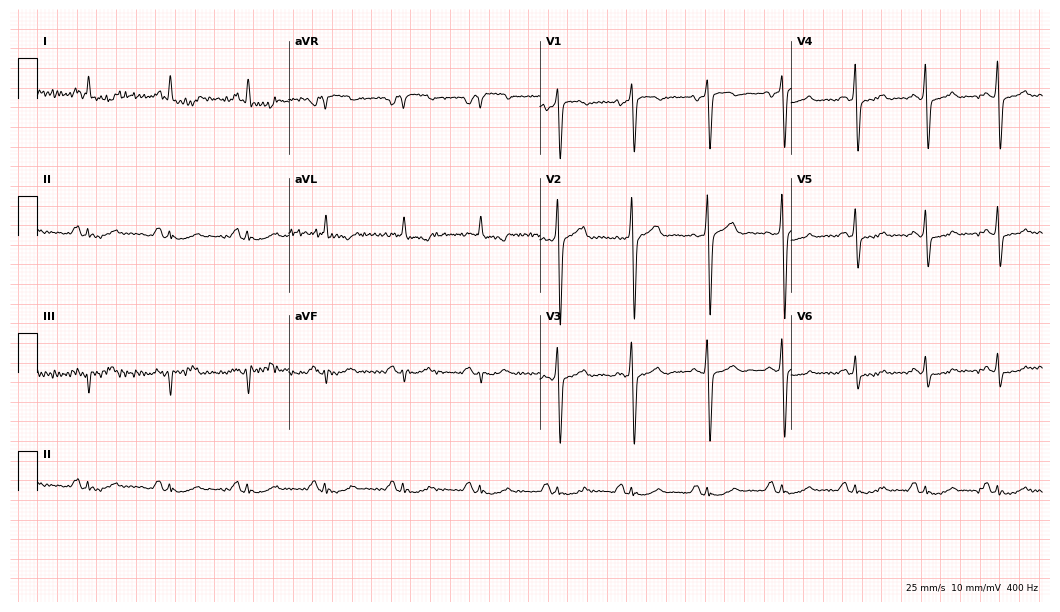
Standard 12-lead ECG recorded from a 58-year-old male. None of these six findings is recorded: first-degree AV block, right bundle branch block (RBBB), left bundle branch block (LBBB), sinus bradycardia, atrial fibrillation (AF), sinus tachycardia.